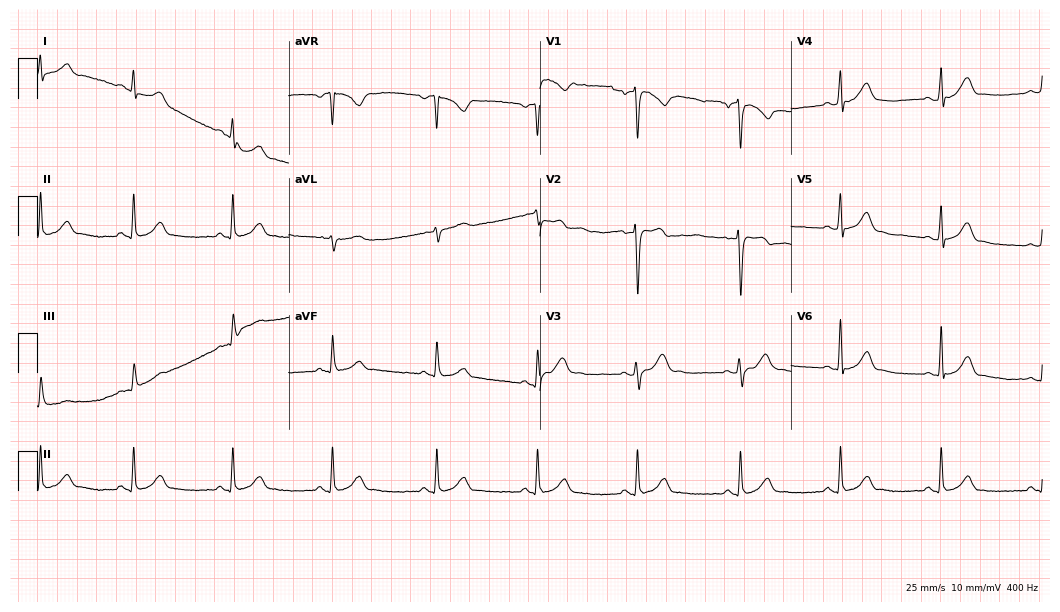
Standard 12-lead ECG recorded from a male, 34 years old. Read as a normal ECG.